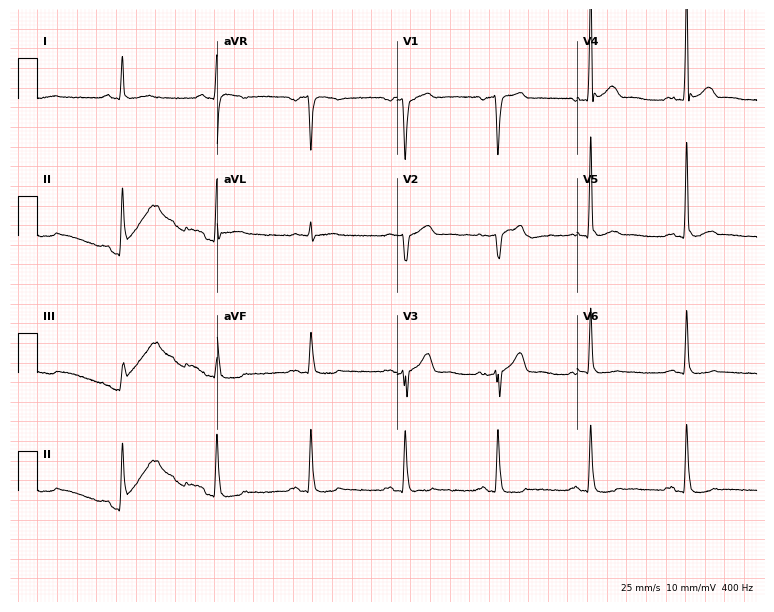
Standard 12-lead ECG recorded from a 78-year-old male. None of these six findings is recorded: first-degree AV block, right bundle branch block (RBBB), left bundle branch block (LBBB), sinus bradycardia, atrial fibrillation (AF), sinus tachycardia.